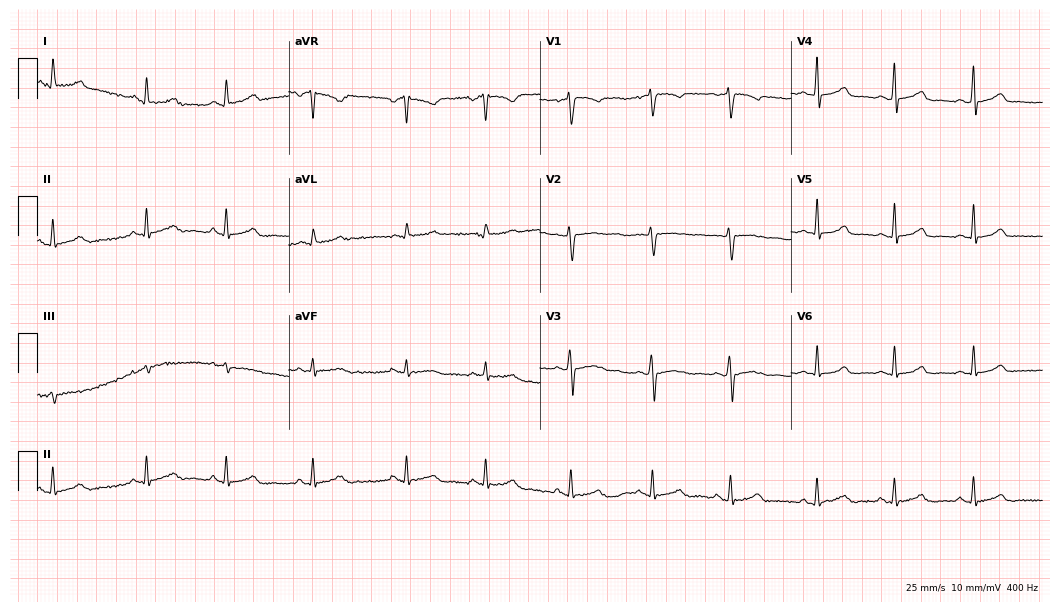
Standard 12-lead ECG recorded from a female patient, 32 years old (10.2-second recording at 400 Hz). Read as a normal ECG.